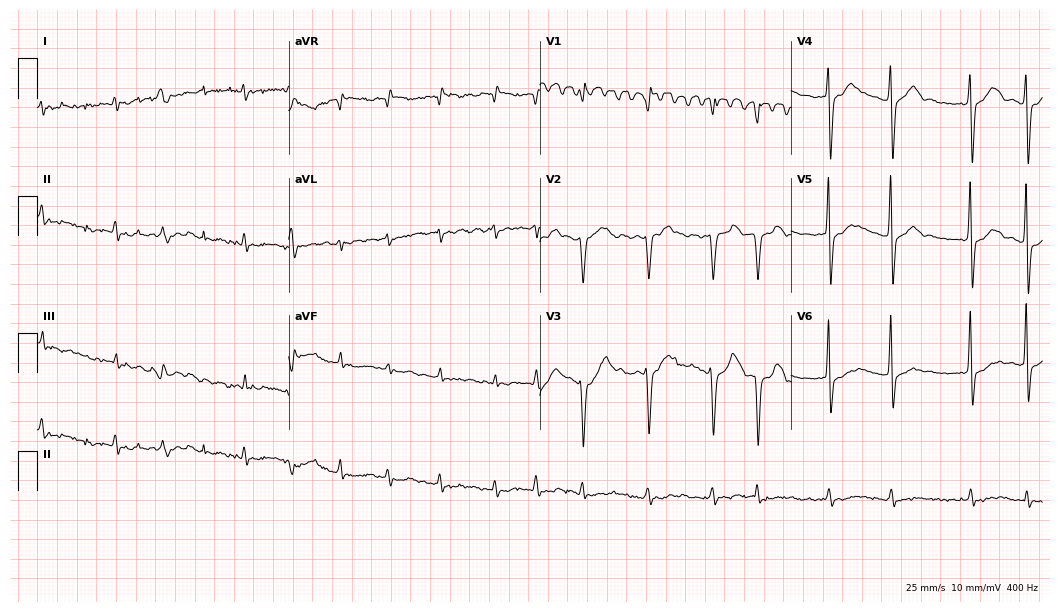
ECG — a man, 80 years old. Findings include atrial fibrillation.